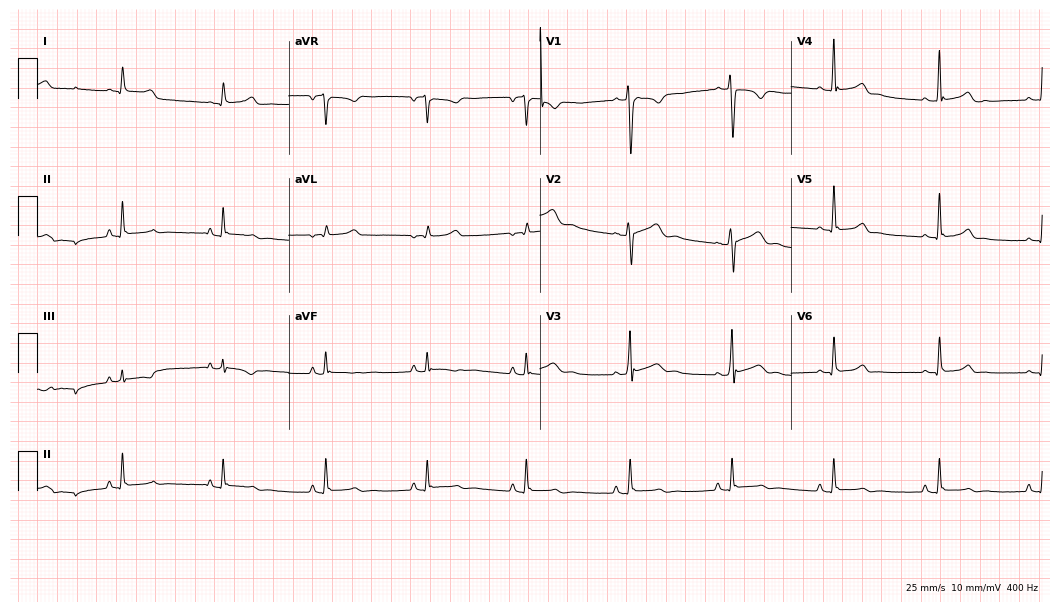
Resting 12-lead electrocardiogram (10.2-second recording at 400 Hz). Patient: a 19-year-old male. None of these six findings is recorded: first-degree AV block, right bundle branch block, left bundle branch block, sinus bradycardia, atrial fibrillation, sinus tachycardia.